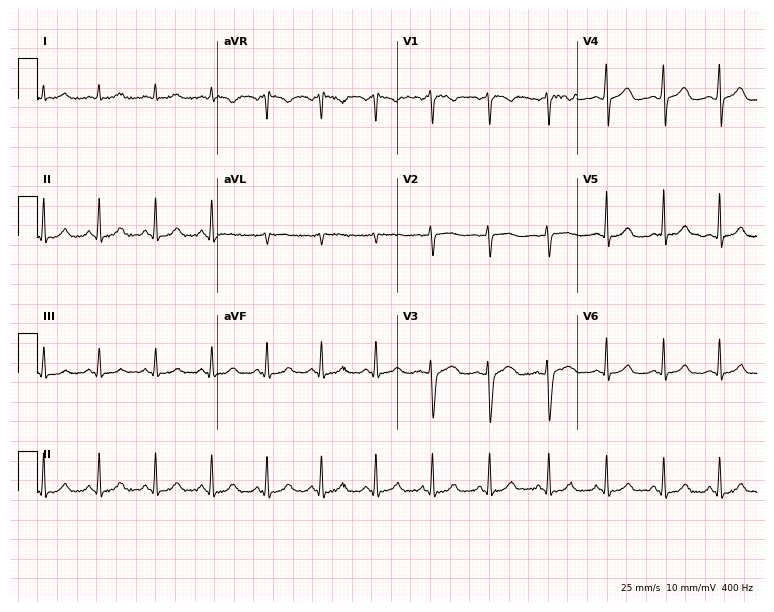
Resting 12-lead electrocardiogram (7.3-second recording at 400 Hz). Patient: a 30-year-old female. The tracing shows sinus tachycardia (a sinus rate of 100 beats per minute or more).